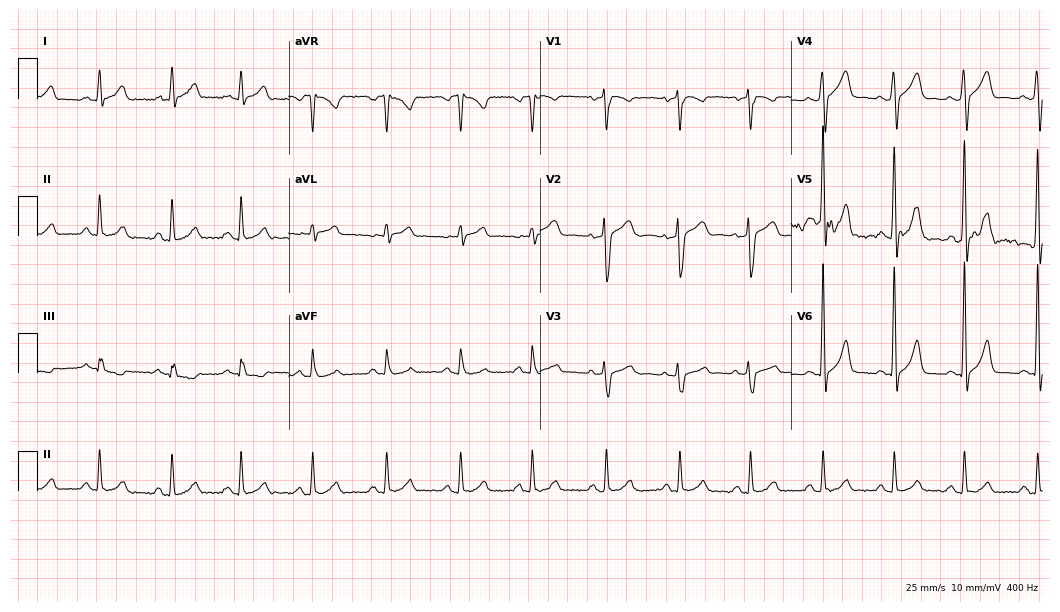
Electrocardiogram, a man, 47 years old. Overall reading on record: normal ECG.